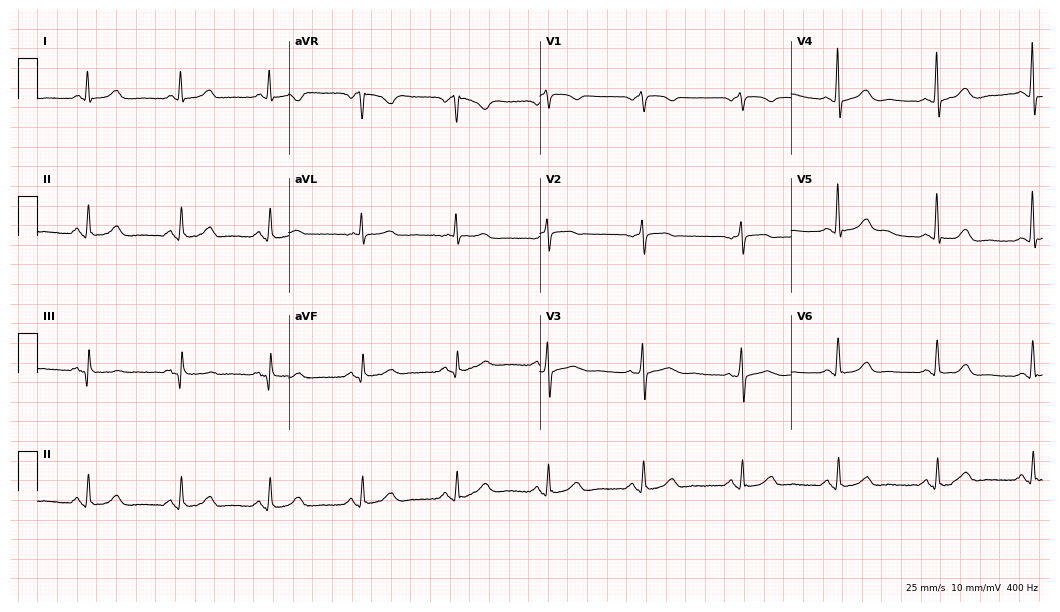
Electrocardiogram (10.2-second recording at 400 Hz), a 76-year-old woman. Of the six screened findings (first-degree AV block, right bundle branch block, left bundle branch block, sinus bradycardia, atrial fibrillation, sinus tachycardia), none is recorded.